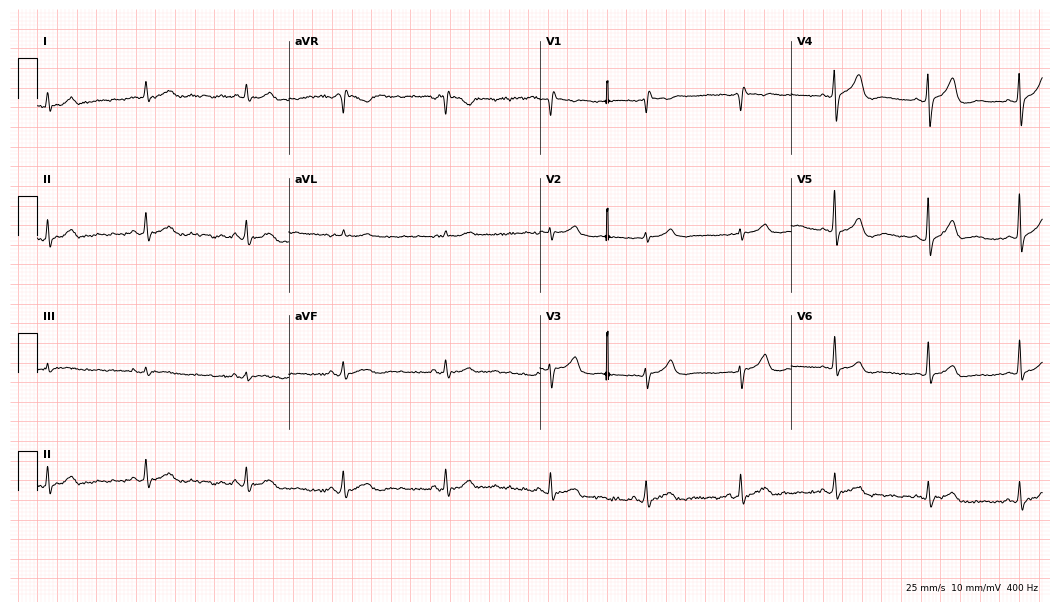
ECG — a woman, 69 years old. Screened for six findings — first-degree AV block, right bundle branch block, left bundle branch block, sinus bradycardia, atrial fibrillation, sinus tachycardia — none is recorded. Findings outside these six are not listed.